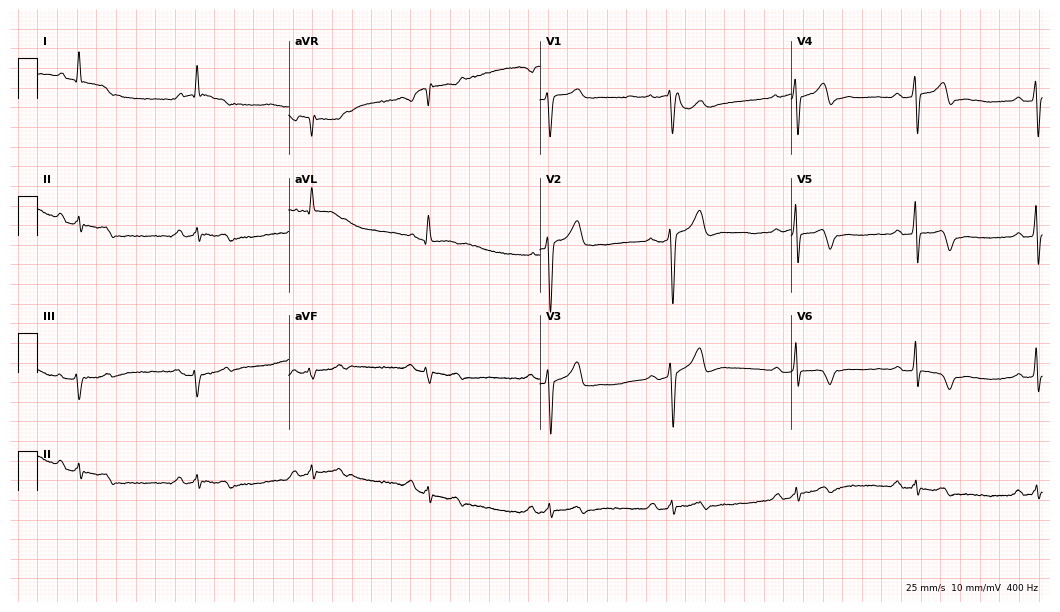
12-lead ECG from a 60-year-old male patient (10.2-second recording at 400 Hz). No first-degree AV block, right bundle branch block (RBBB), left bundle branch block (LBBB), sinus bradycardia, atrial fibrillation (AF) or sinus tachycardia recorded for this tracing.